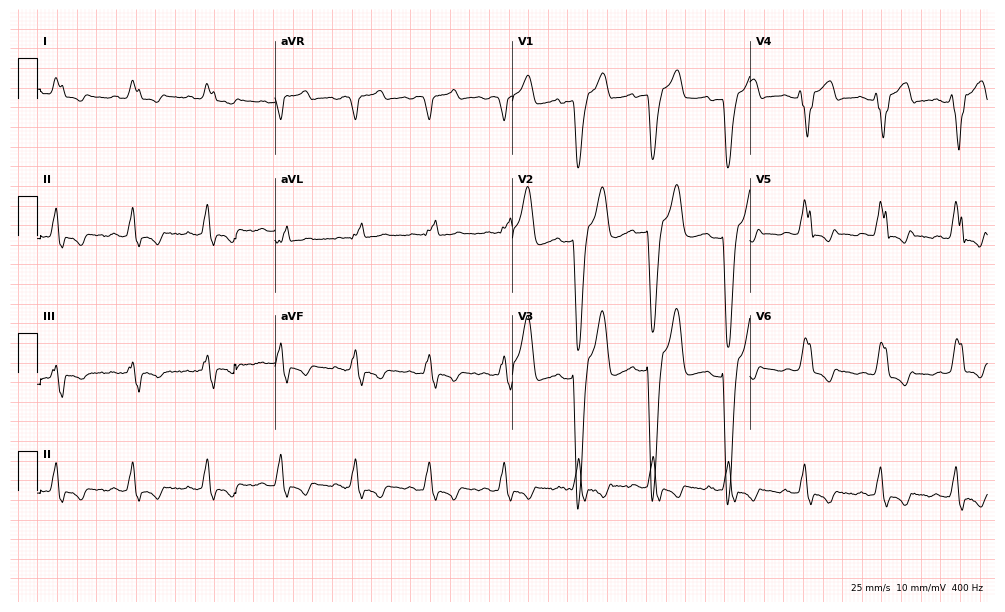
ECG — an 88-year-old male. Findings include left bundle branch block.